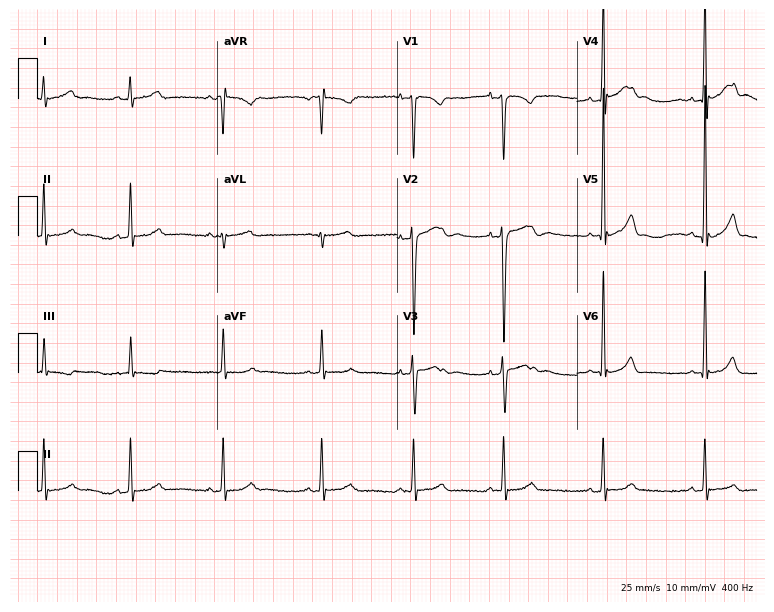
Electrocardiogram, a 17-year-old man. Of the six screened findings (first-degree AV block, right bundle branch block, left bundle branch block, sinus bradycardia, atrial fibrillation, sinus tachycardia), none is recorded. Findings outside these six are not listed.